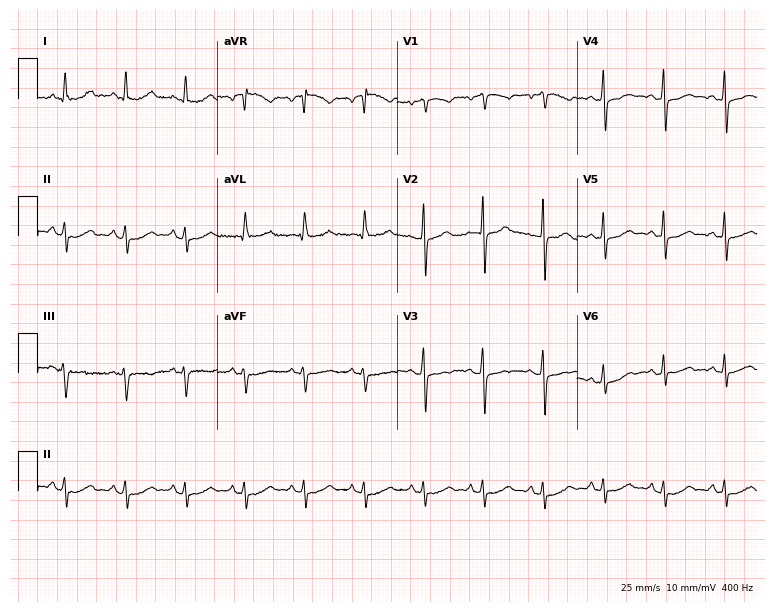
12-lead ECG from a female, 67 years old. No first-degree AV block, right bundle branch block, left bundle branch block, sinus bradycardia, atrial fibrillation or sinus tachycardia recorded for this tracing.